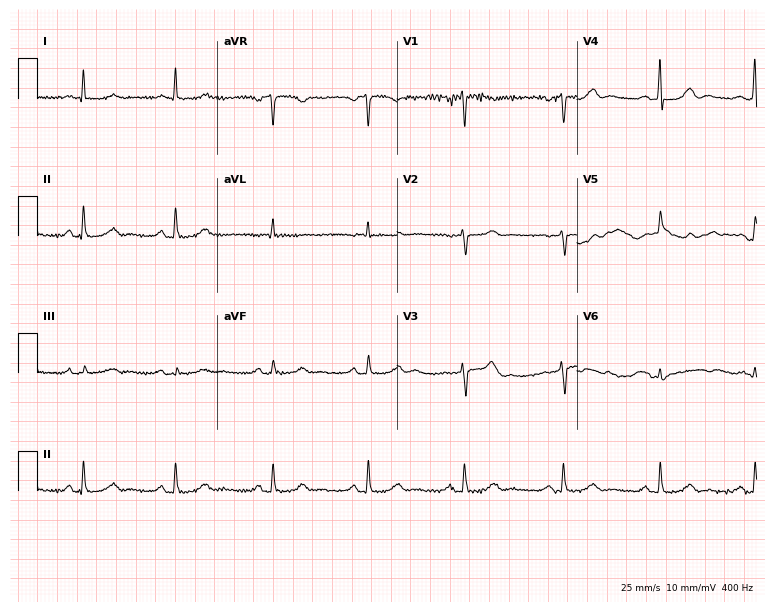
Resting 12-lead electrocardiogram. Patient: a 68-year-old female. None of these six findings is recorded: first-degree AV block, right bundle branch block (RBBB), left bundle branch block (LBBB), sinus bradycardia, atrial fibrillation (AF), sinus tachycardia.